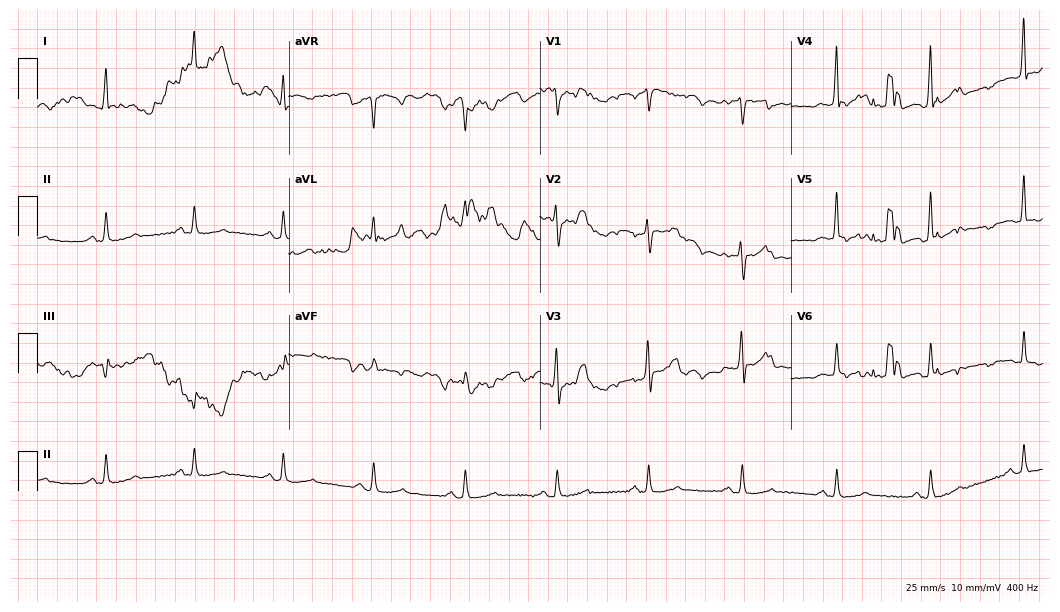
Electrocardiogram (10.2-second recording at 400 Hz), a 37-year-old male. Of the six screened findings (first-degree AV block, right bundle branch block, left bundle branch block, sinus bradycardia, atrial fibrillation, sinus tachycardia), none is recorded.